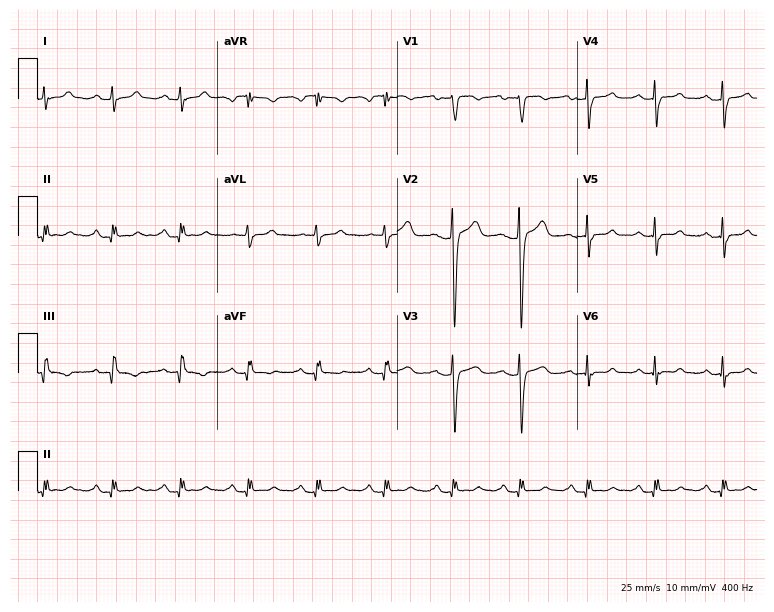
Standard 12-lead ECG recorded from a woman, 49 years old. None of these six findings is recorded: first-degree AV block, right bundle branch block, left bundle branch block, sinus bradycardia, atrial fibrillation, sinus tachycardia. Only these six findings were labelled.